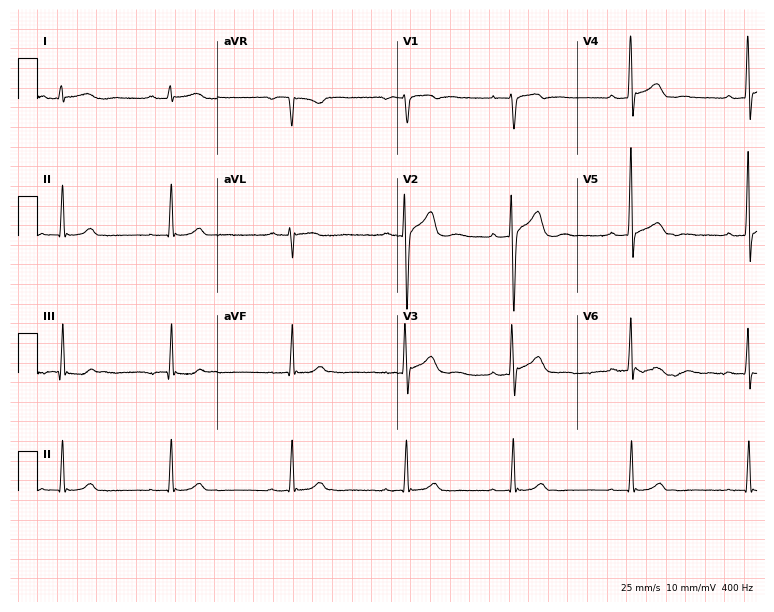
12-lead ECG (7.3-second recording at 400 Hz) from a 36-year-old male. Labelled as a normal ECG.